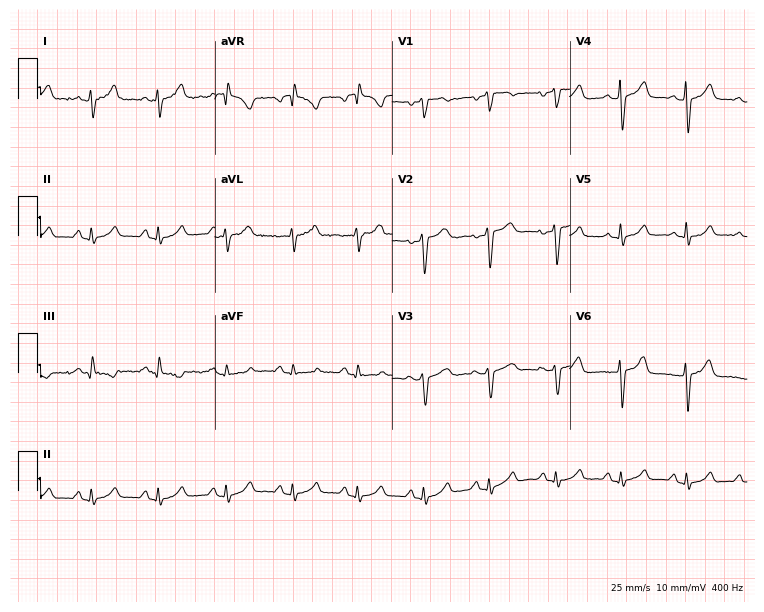
12-lead ECG from a female, 41 years old. Screened for six findings — first-degree AV block, right bundle branch block, left bundle branch block, sinus bradycardia, atrial fibrillation, sinus tachycardia — none is recorded.